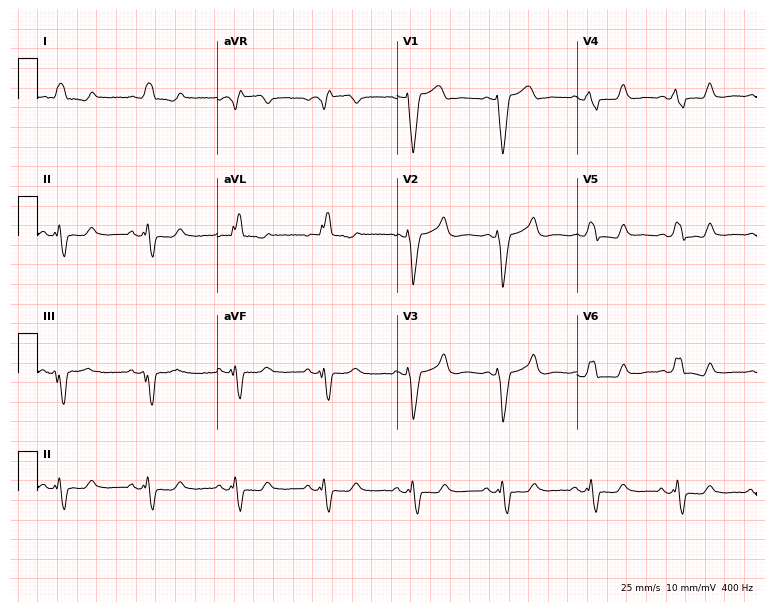
Electrocardiogram (7.3-second recording at 400 Hz), a woman, 78 years old. Interpretation includes left bundle branch block.